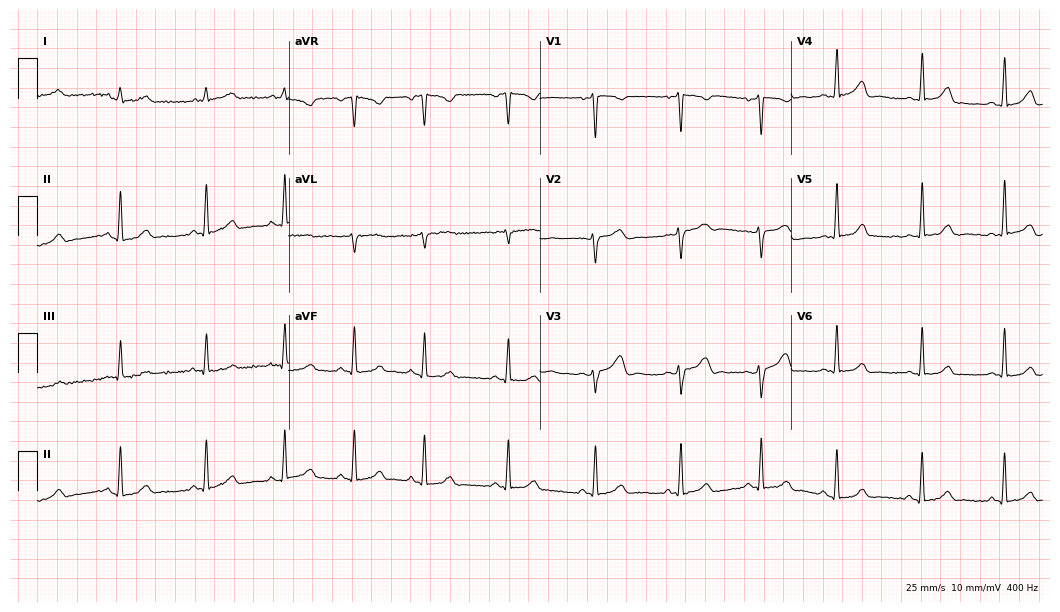
Standard 12-lead ECG recorded from a female, 33 years old (10.2-second recording at 400 Hz). Read as a normal ECG.